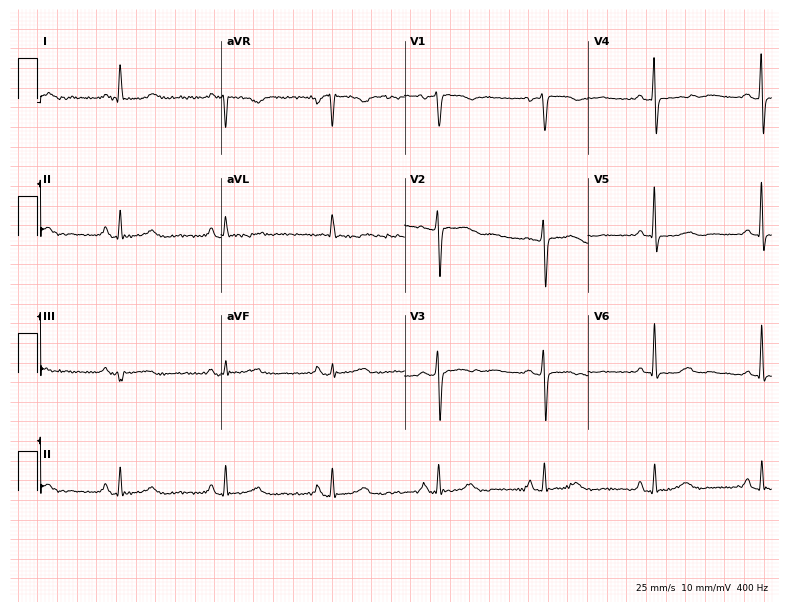
ECG (7.5-second recording at 400 Hz) — a 71-year-old woman. Labelled as a normal ECG.